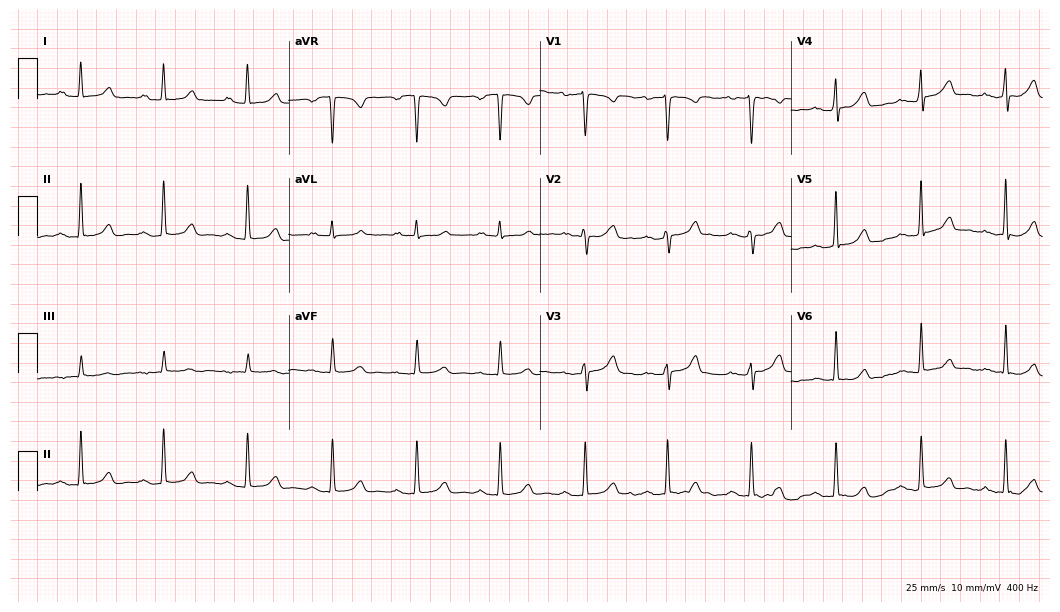
Electrocardiogram, a 31-year-old female. Overall reading on record: normal ECG.